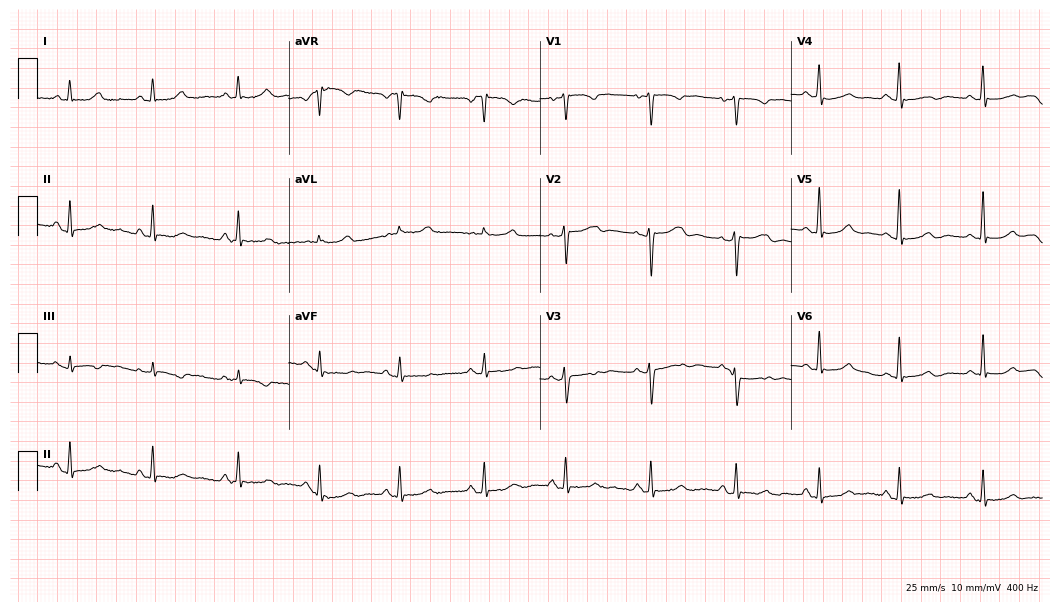
12-lead ECG from a female patient, 46 years old (10.2-second recording at 400 Hz). No first-degree AV block, right bundle branch block, left bundle branch block, sinus bradycardia, atrial fibrillation or sinus tachycardia recorded for this tracing.